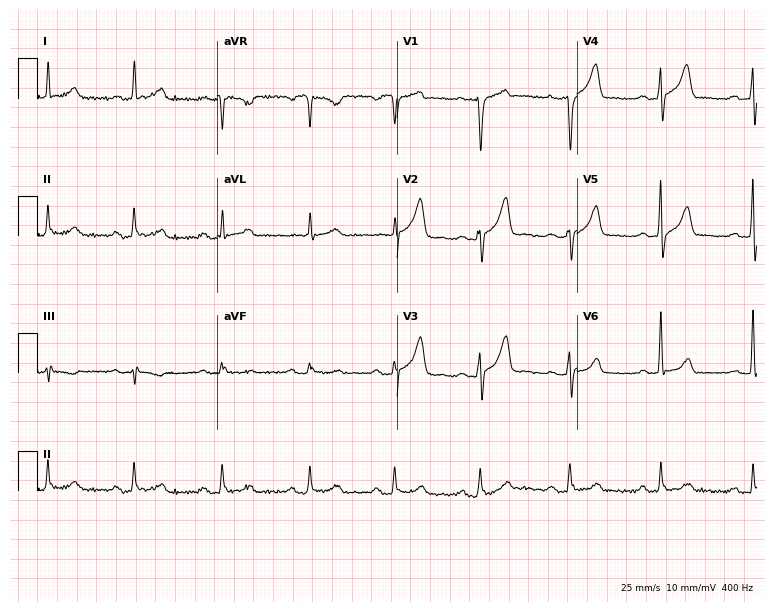
ECG (7.3-second recording at 400 Hz) — a man, 42 years old. Screened for six findings — first-degree AV block, right bundle branch block (RBBB), left bundle branch block (LBBB), sinus bradycardia, atrial fibrillation (AF), sinus tachycardia — none is recorded.